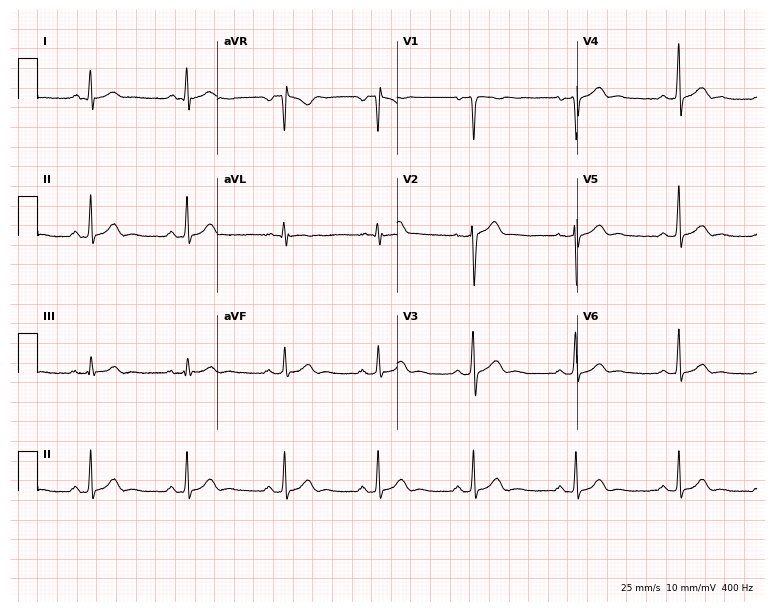
12-lead ECG from a 32-year-old man (7.3-second recording at 400 Hz). No first-degree AV block, right bundle branch block, left bundle branch block, sinus bradycardia, atrial fibrillation or sinus tachycardia recorded for this tracing.